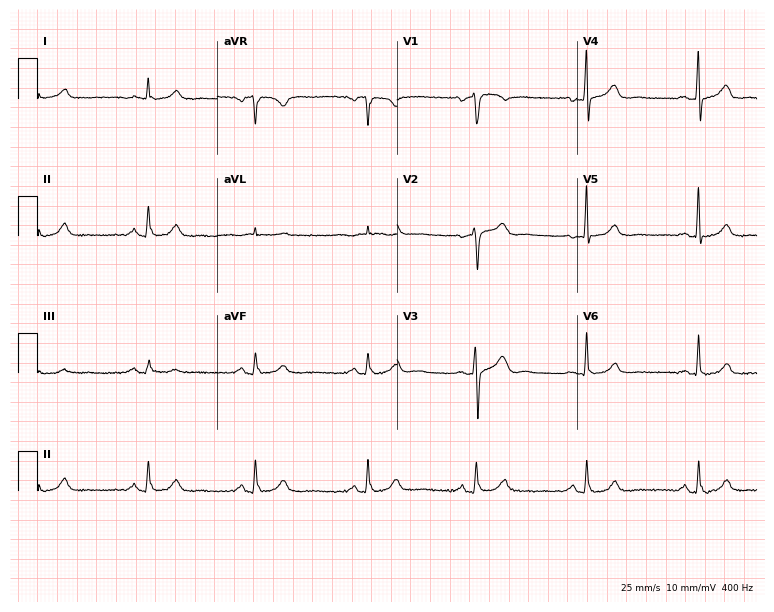
Electrocardiogram, a male patient, 62 years old. Overall reading on record: normal ECG.